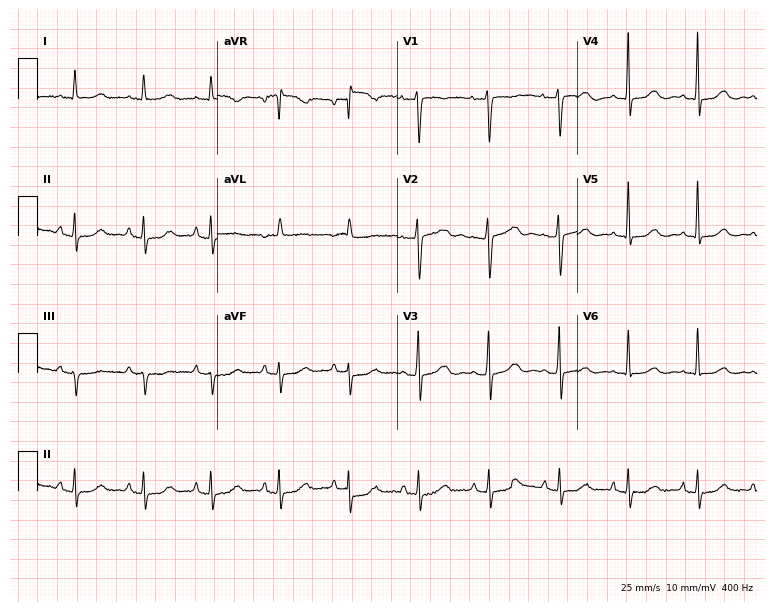
12-lead ECG from a female, 68 years old. No first-degree AV block, right bundle branch block, left bundle branch block, sinus bradycardia, atrial fibrillation or sinus tachycardia recorded for this tracing.